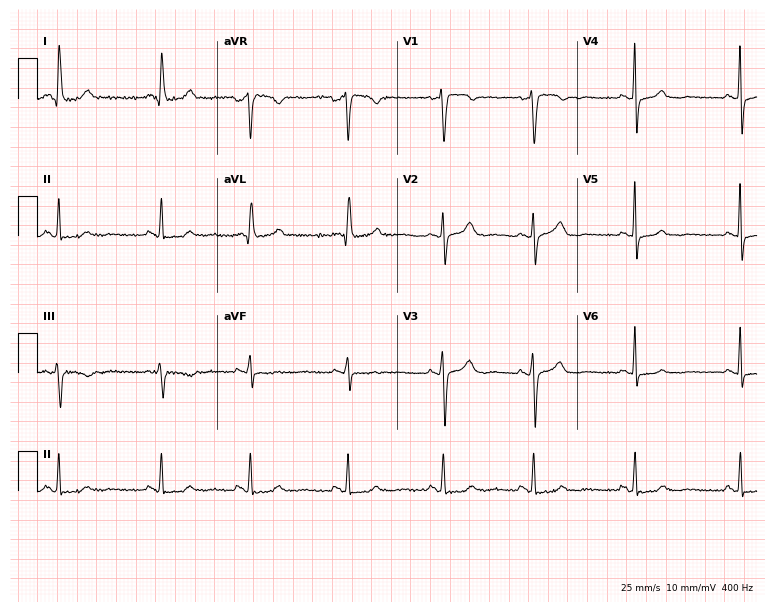
12-lead ECG from a 45-year-old woman (7.3-second recording at 400 Hz). Recorded interpretation: within normal limits.